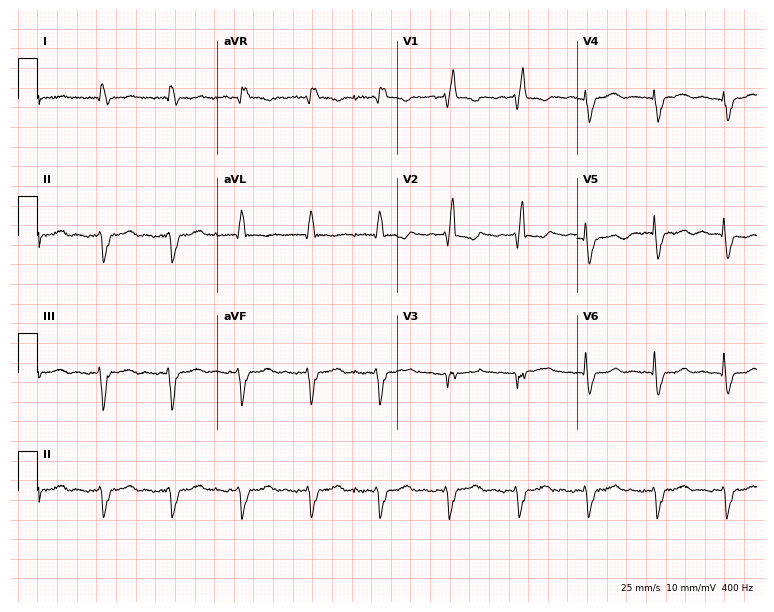
12-lead ECG from an 83-year-old female. Shows right bundle branch block.